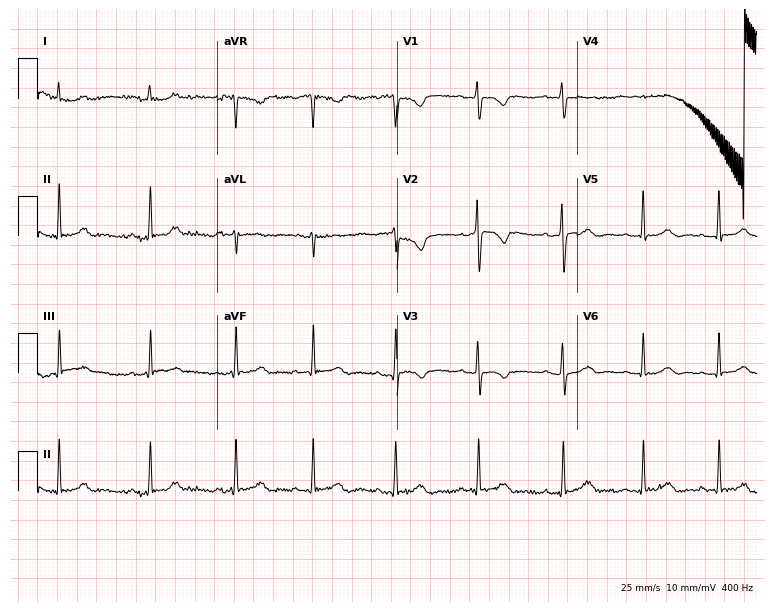
Electrocardiogram, a woman, 22 years old. Of the six screened findings (first-degree AV block, right bundle branch block (RBBB), left bundle branch block (LBBB), sinus bradycardia, atrial fibrillation (AF), sinus tachycardia), none is recorded.